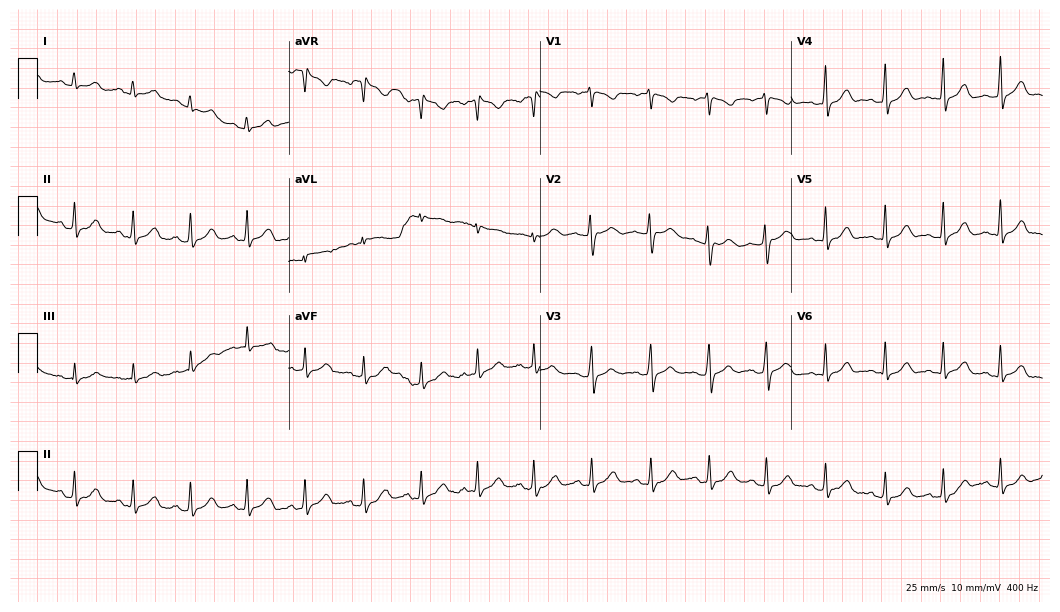
Standard 12-lead ECG recorded from a female, 17 years old (10.2-second recording at 400 Hz). None of these six findings is recorded: first-degree AV block, right bundle branch block, left bundle branch block, sinus bradycardia, atrial fibrillation, sinus tachycardia.